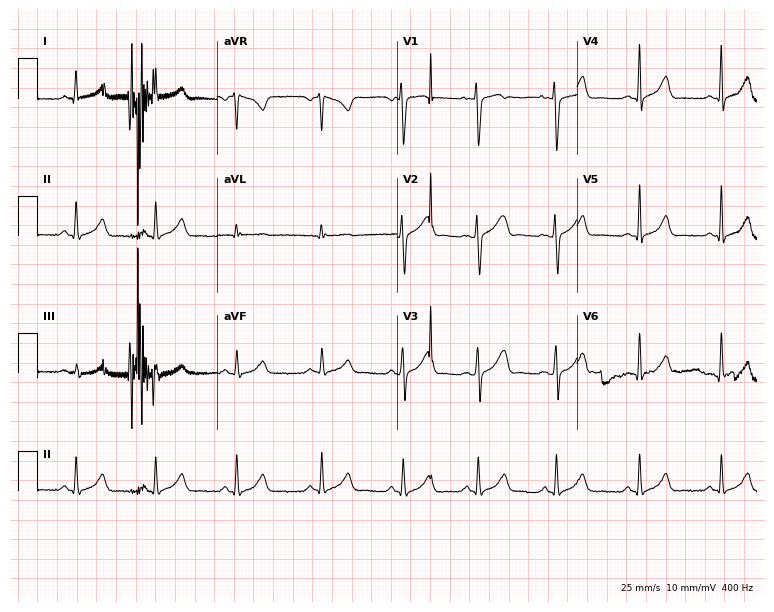
12-lead ECG from a female patient, 28 years old. Labelled as a normal ECG.